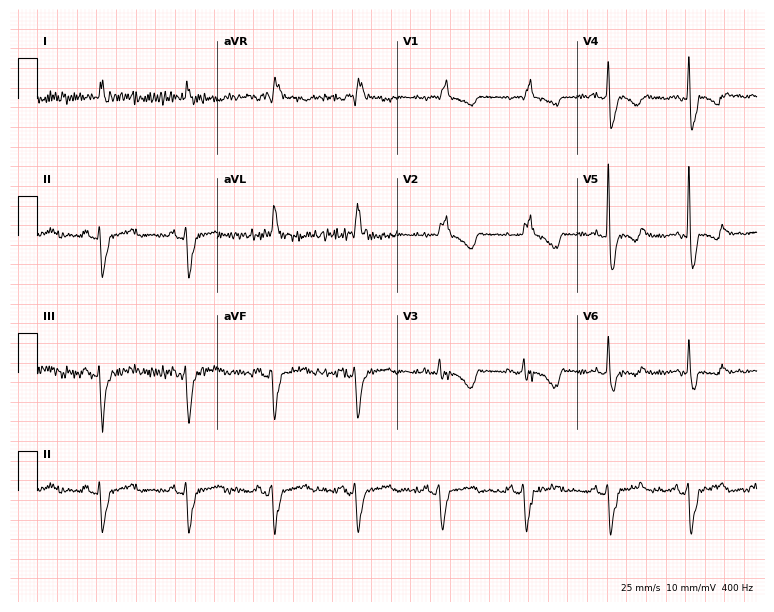
Resting 12-lead electrocardiogram (7.3-second recording at 400 Hz). Patient: an 83-year-old man. The tracing shows right bundle branch block.